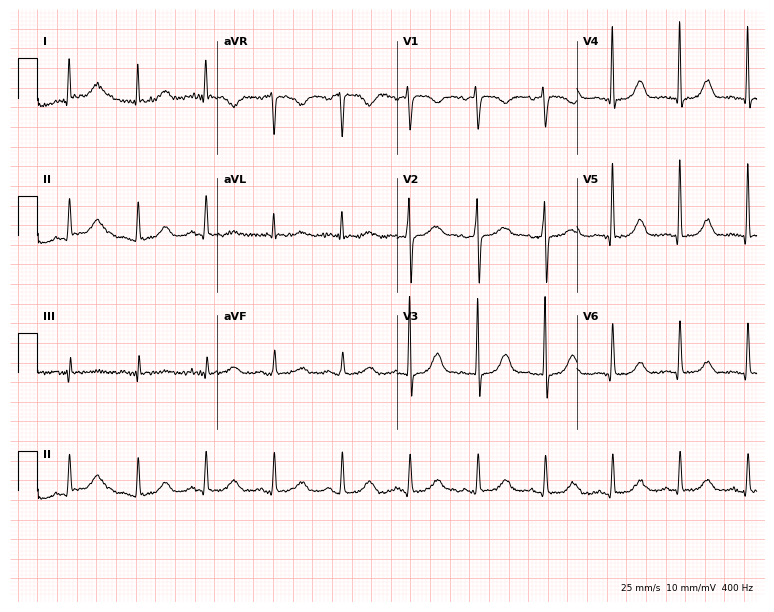
Electrocardiogram (7.3-second recording at 400 Hz), a male patient, 60 years old. Overall reading on record: normal ECG.